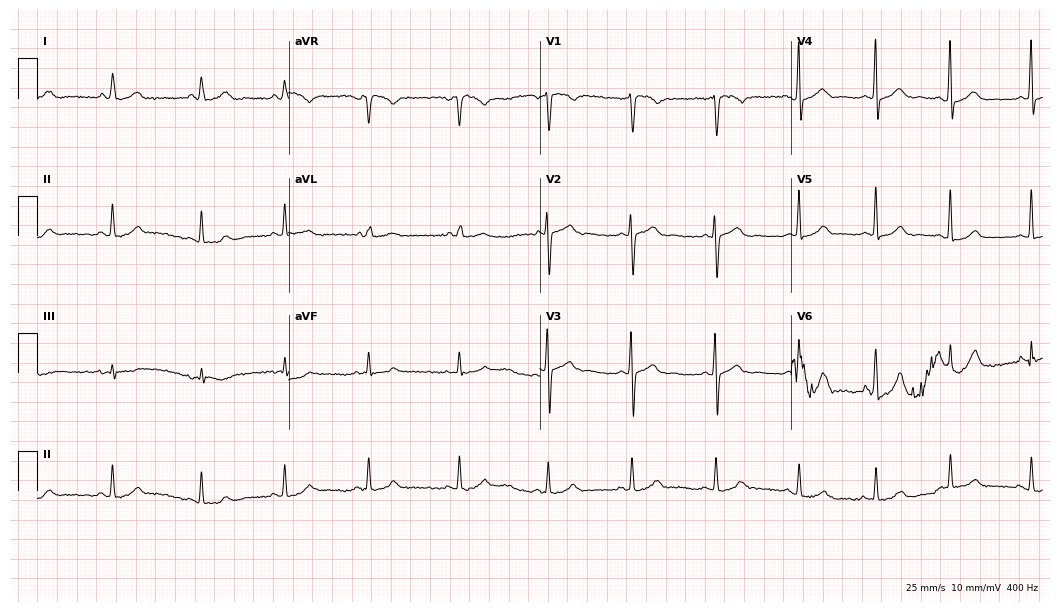
12-lead ECG (10.2-second recording at 400 Hz) from a 27-year-old male patient. Labelled as a normal ECG.